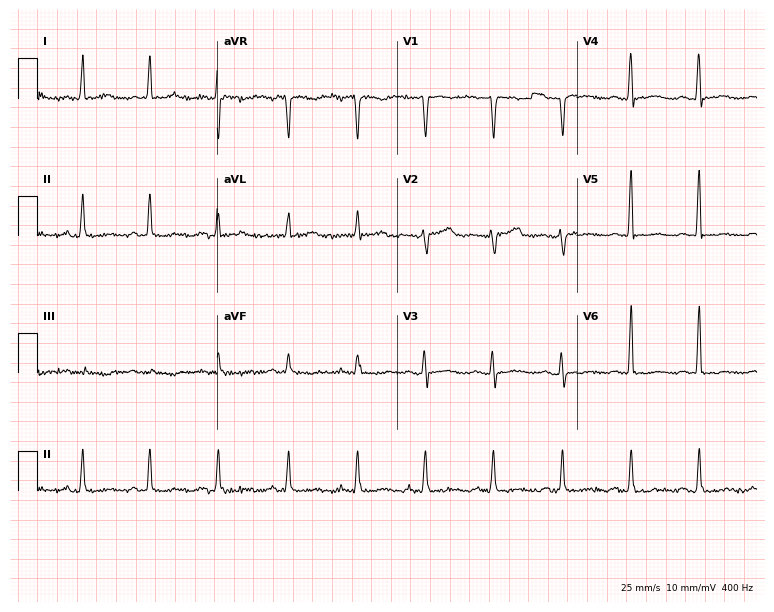
12-lead ECG from a woman, 58 years old. No first-degree AV block, right bundle branch block (RBBB), left bundle branch block (LBBB), sinus bradycardia, atrial fibrillation (AF) or sinus tachycardia recorded for this tracing.